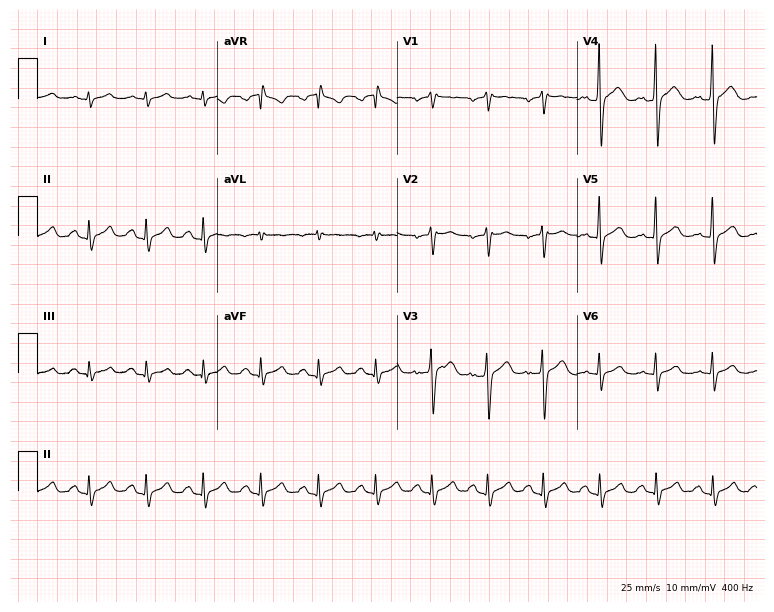
Resting 12-lead electrocardiogram. Patient: a male, 51 years old. Read as a normal ECG.